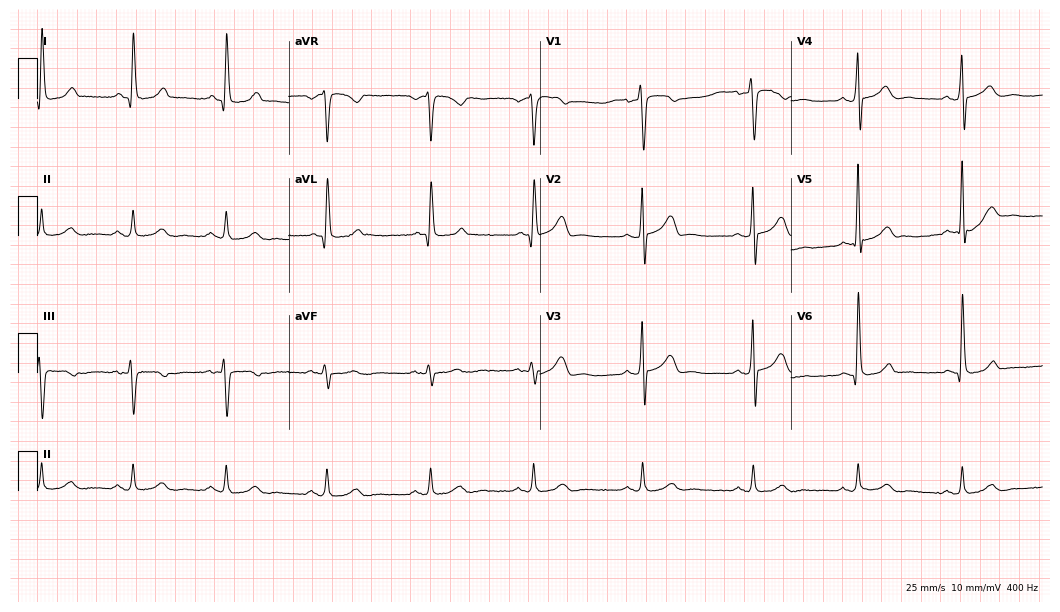
ECG (10.2-second recording at 400 Hz) — a man, 48 years old. Labelled as a normal ECG.